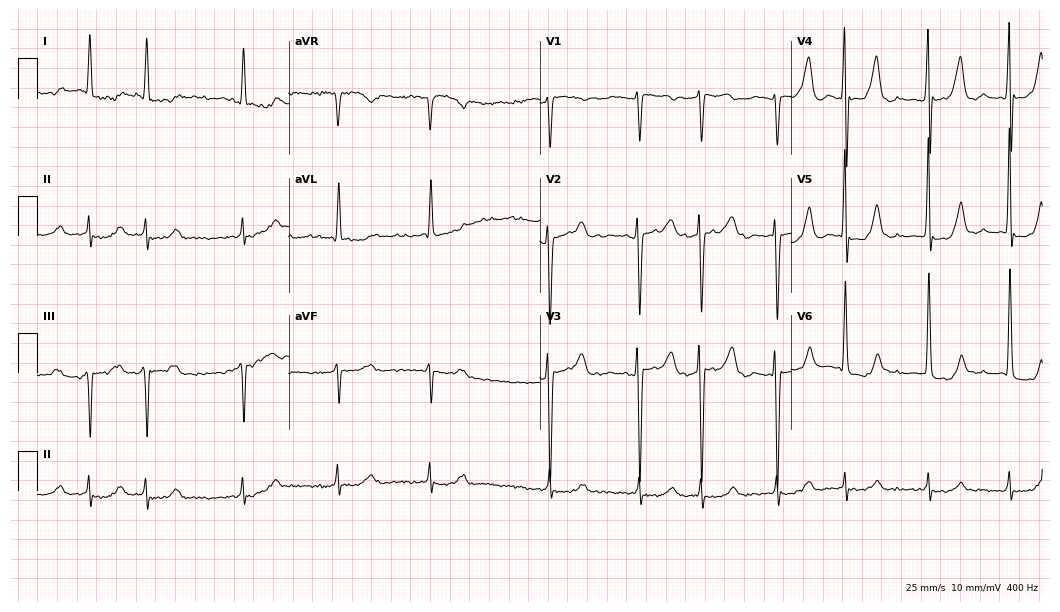
Resting 12-lead electrocardiogram (10.2-second recording at 400 Hz). Patient: a female, 84 years old. The tracing shows first-degree AV block, atrial fibrillation.